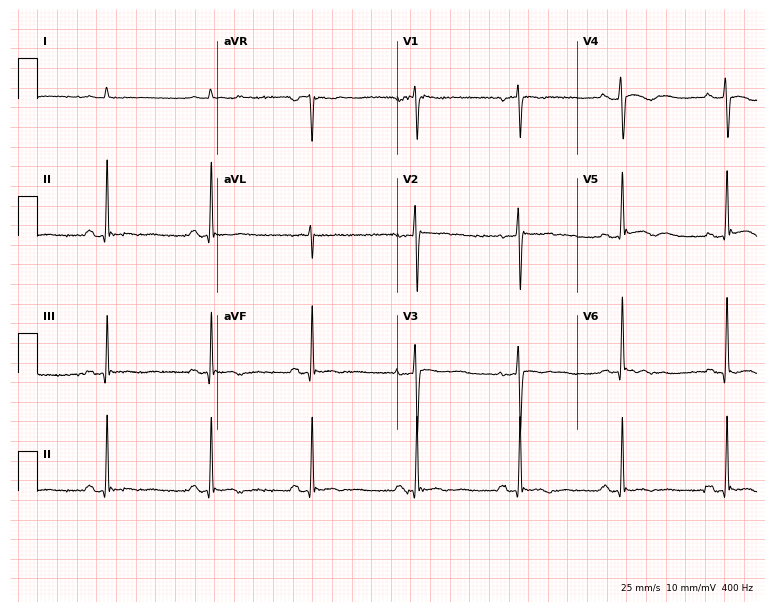
12-lead ECG from a 70-year-old female patient (7.3-second recording at 400 Hz). No first-degree AV block, right bundle branch block, left bundle branch block, sinus bradycardia, atrial fibrillation or sinus tachycardia recorded for this tracing. Findings outside these six are not listed.